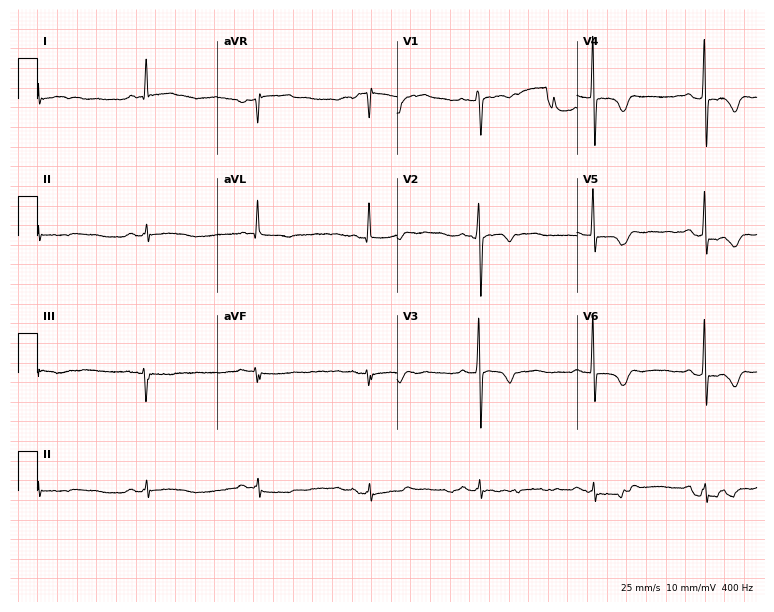
ECG — a 77-year-old male. Screened for six findings — first-degree AV block, right bundle branch block, left bundle branch block, sinus bradycardia, atrial fibrillation, sinus tachycardia — none is recorded. Findings outside these six are not listed.